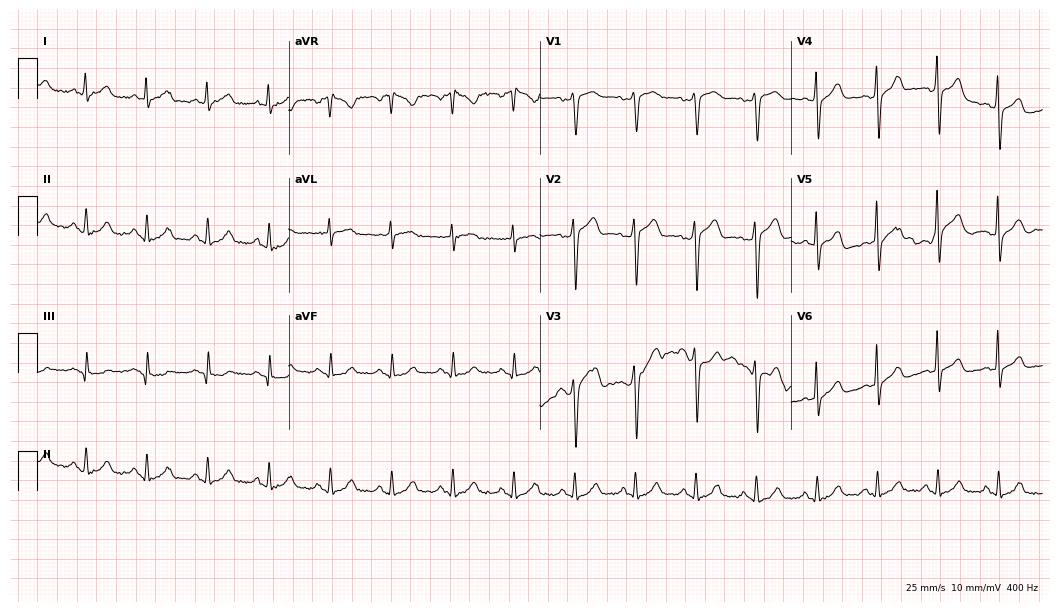
ECG — a 59-year-old man. Labelled as a normal ECG.